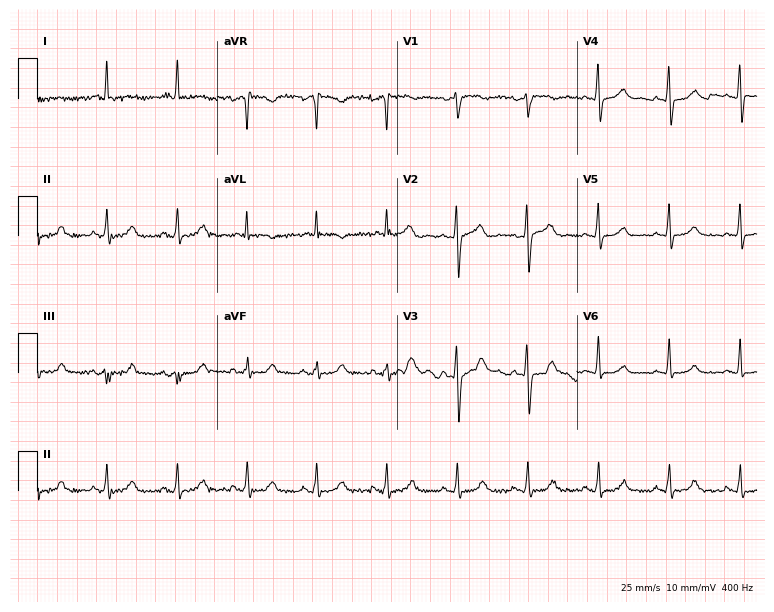
Electrocardiogram, a female, 55 years old. Overall reading on record: normal ECG.